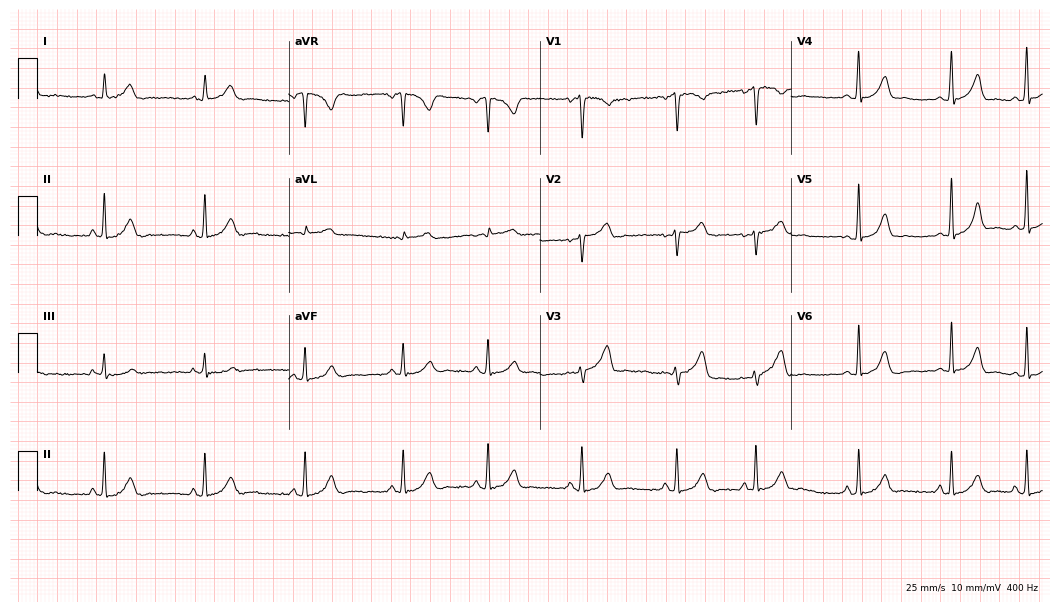
Electrocardiogram, a female, 23 years old. Overall reading on record: normal ECG.